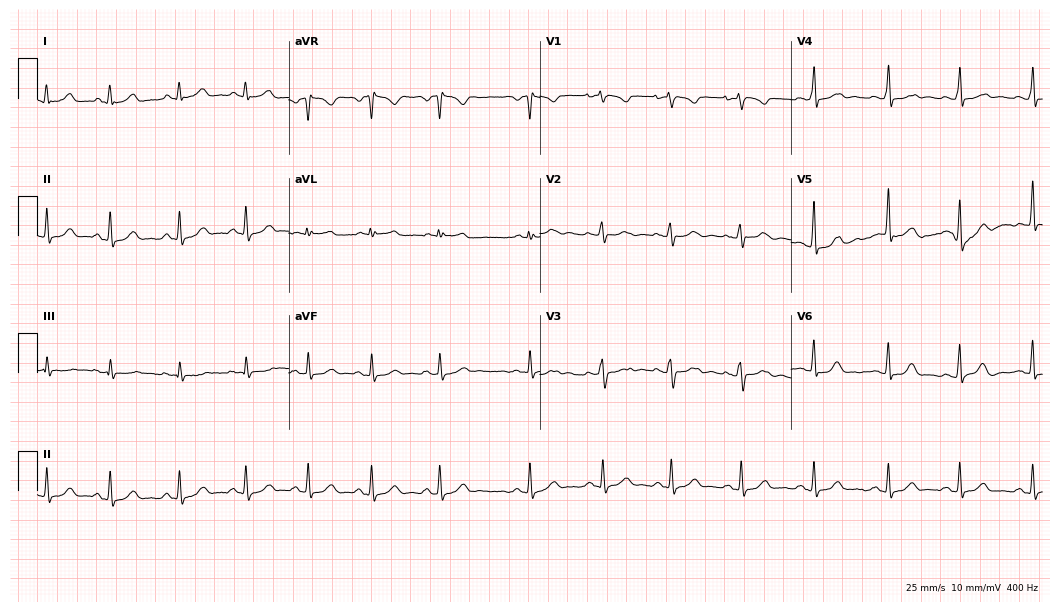
Electrocardiogram, a woman, 41 years old. Of the six screened findings (first-degree AV block, right bundle branch block, left bundle branch block, sinus bradycardia, atrial fibrillation, sinus tachycardia), none is recorded. Findings outside these six are not listed.